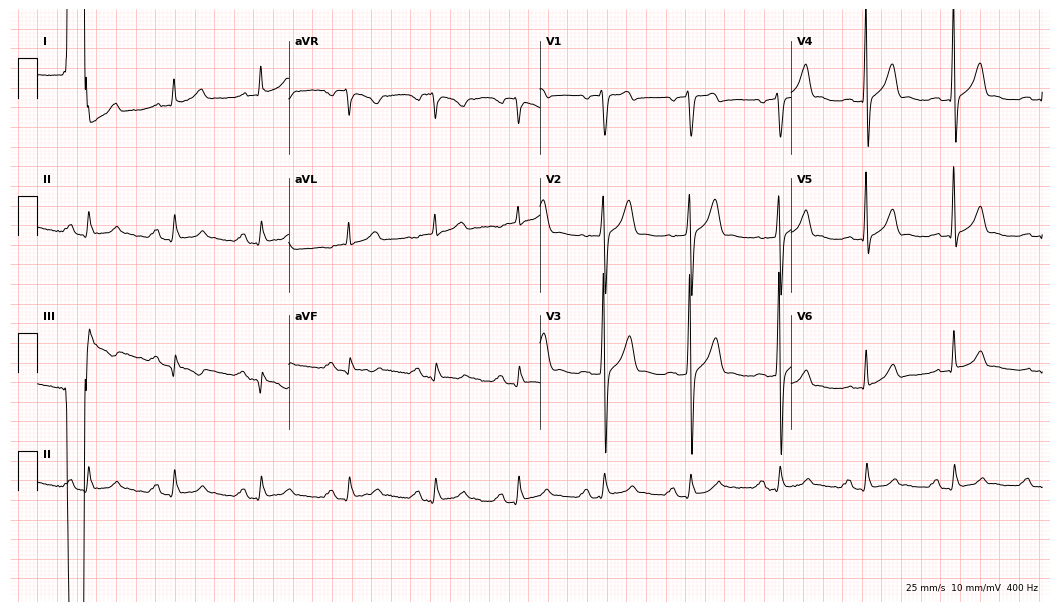
12-lead ECG (10.2-second recording at 400 Hz) from a man, 50 years old. Labelled as a normal ECG.